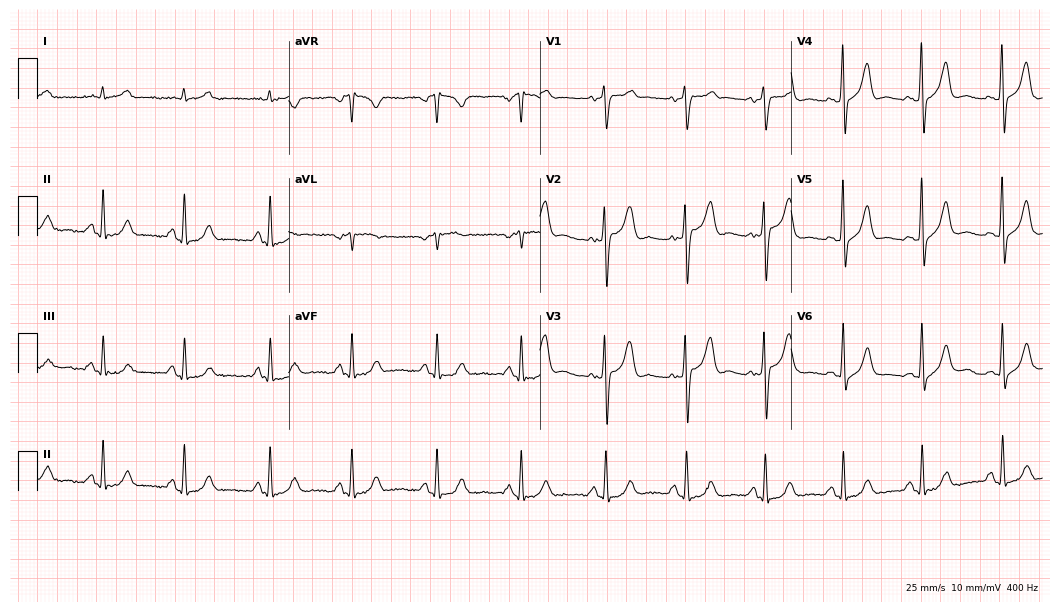
12-lead ECG from a man, 72 years old (10.2-second recording at 400 Hz). Recorded interpretation: within normal limits.